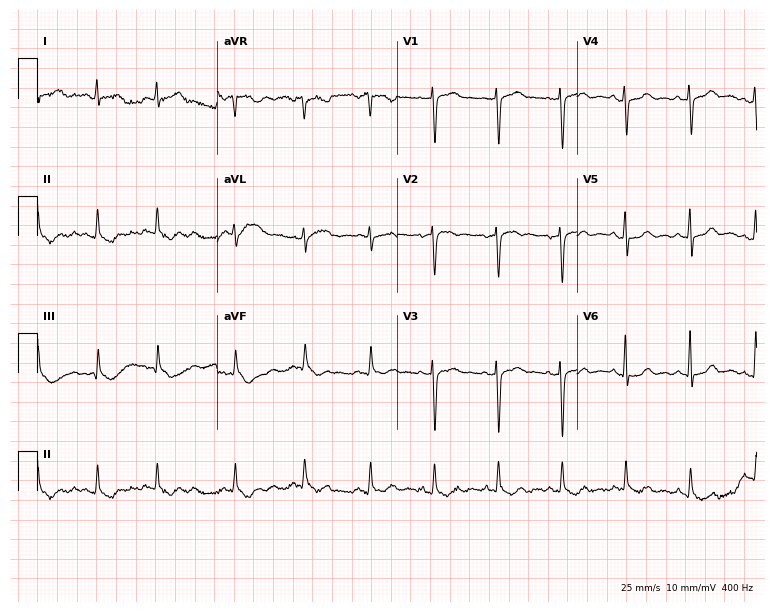
Resting 12-lead electrocardiogram. Patient: a 51-year-old female. None of these six findings is recorded: first-degree AV block, right bundle branch block, left bundle branch block, sinus bradycardia, atrial fibrillation, sinus tachycardia.